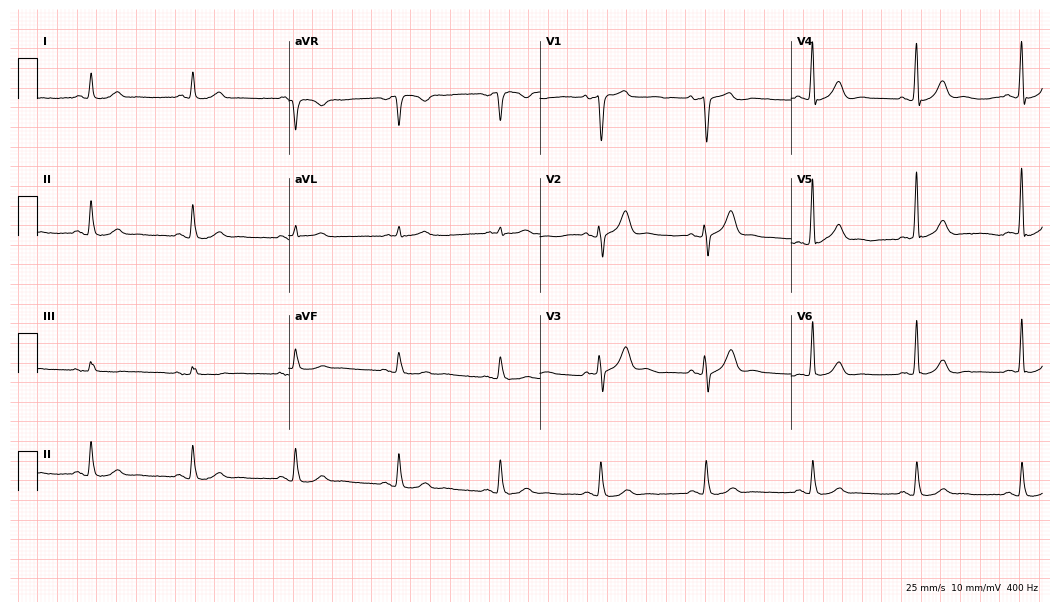
Standard 12-lead ECG recorded from a man, 64 years old. Read as a normal ECG.